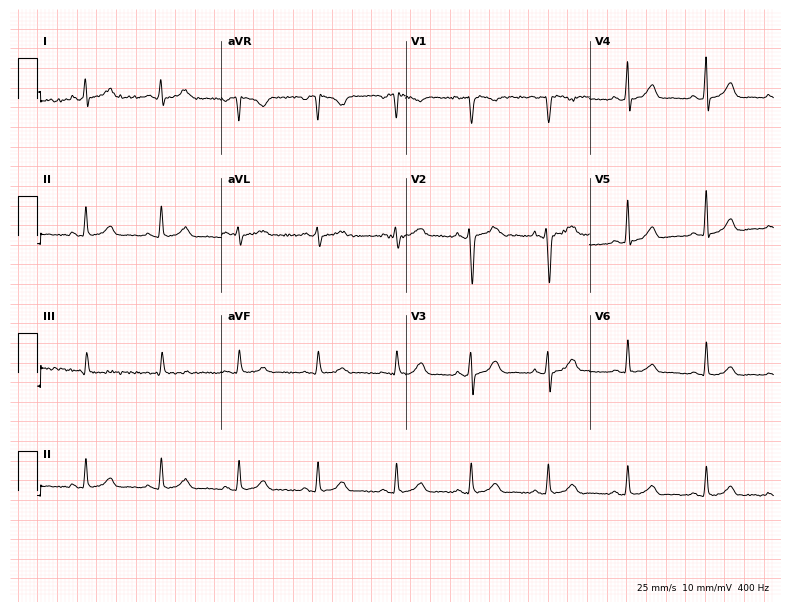
12-lead ECG (7.5-second recording at 400 Hz) from a female patient, 37 years old. Labelled as a normal ECG.